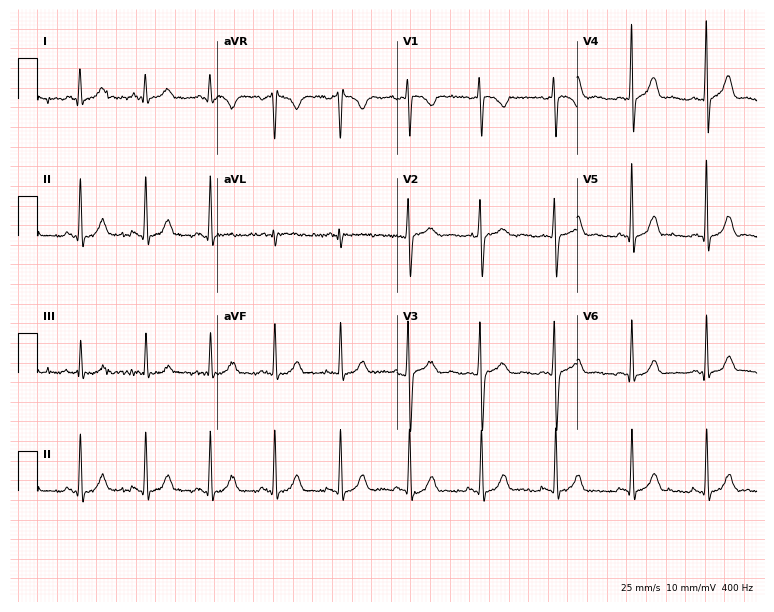
Resting 12-lead electrocardiogram. Patient: a woman, 18 years old. Read as a normal ECG.